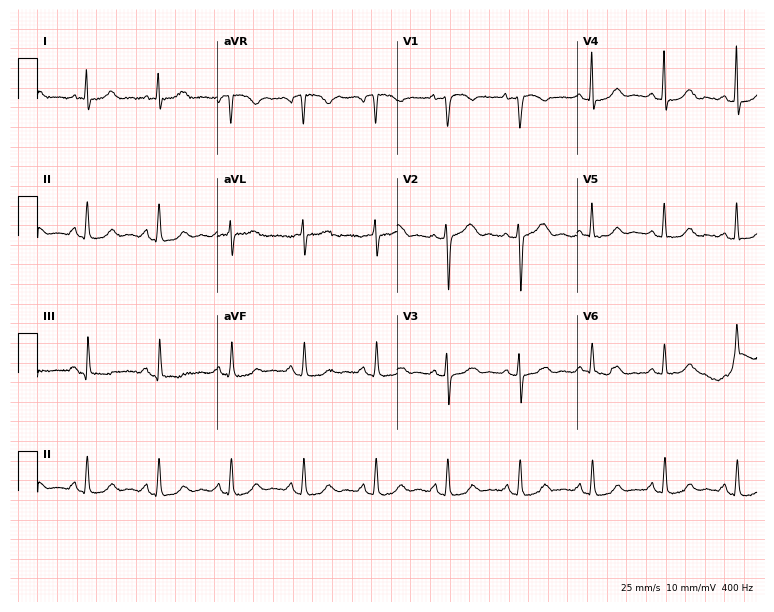
Standard 12-lead ECG recorded from a 63-year-old female patient. None of these six findings is recorded: first-degree AV block, right bundle branch block (RBBB), left bundle branch block (LBBB), sinus bradycardia, atrial fibrillation (AF), sinus tachycardia. Only these six findings were labelled.